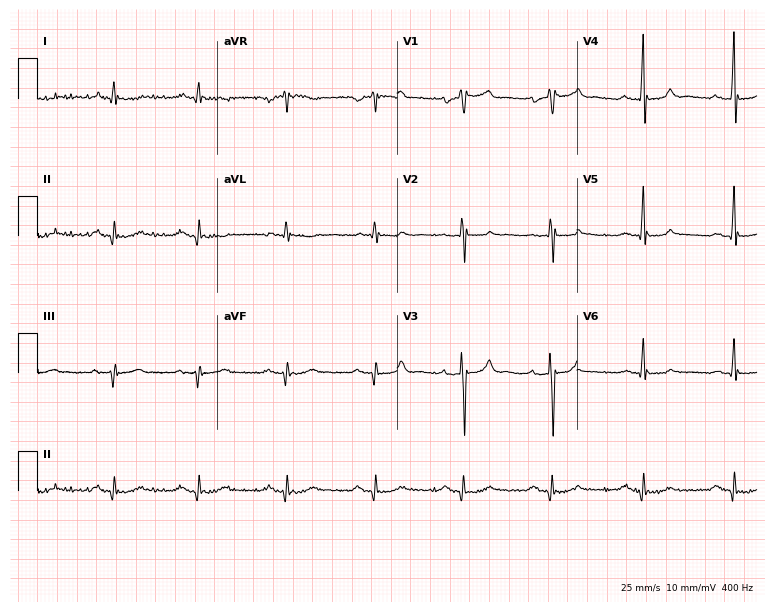
12-lead ECG from a man, 65 years old. Screened for six findings — first-degree AV block, right bundle branch block, left bundle branch block, sinus bradycardia, atrial fibrillation, sinus tachycardia — none is recorded.